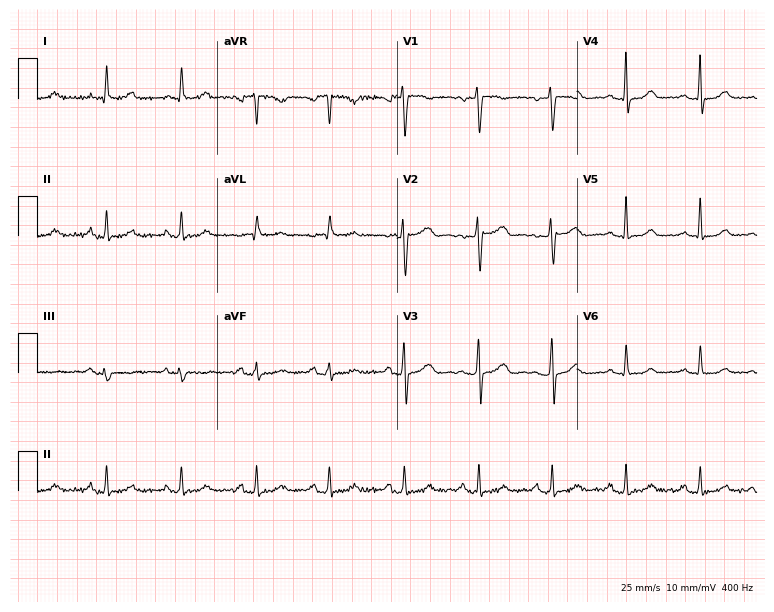
Standard 12-lead ECG recorded from a female, 51 years old. Read as a normal ECG.